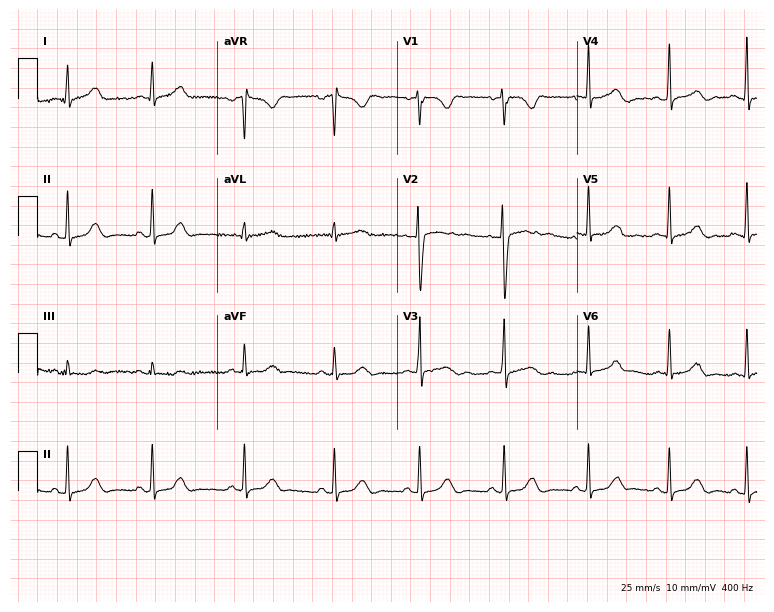
12-lead ECG from a female, 23 years old. Labelled as a normal ECG.